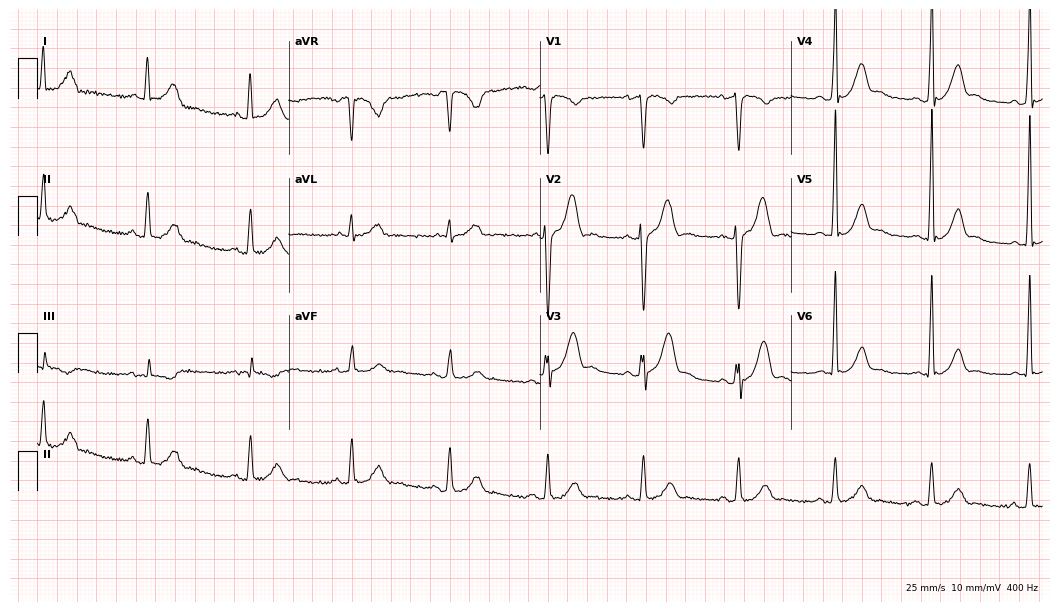
Electrocardiogram (10.2-second recording at 400 Hz), a 39-year-old man. Overall reading on record: normal ECG.